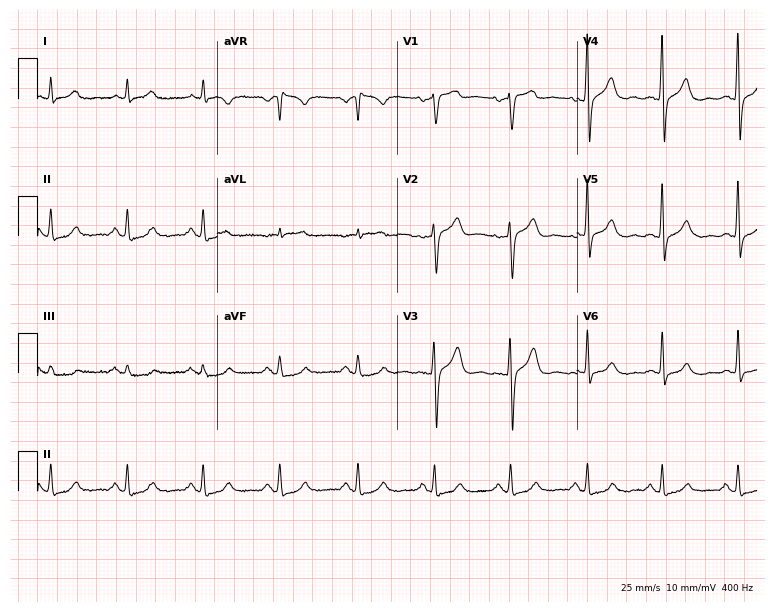
12-lead ECG from a male patient, 54 years old (7.3-second recording at 400 Hz). Recorded interpretation: within normal limits.